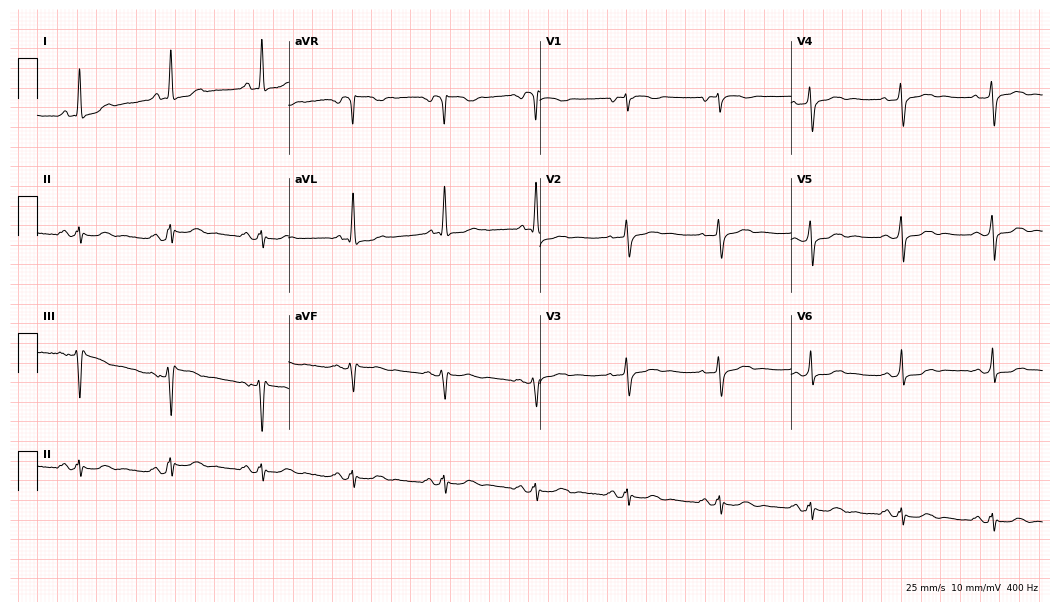
Electrocardiogram (10.2-second recording at 400 Hz), a 76-year-old woman. Of the six screened findings (first-degree AV block, right bundle branch block, left bundle branch block, sinus bradycardia, atrial fibrillation, sinus tachycardia), none is recorded.